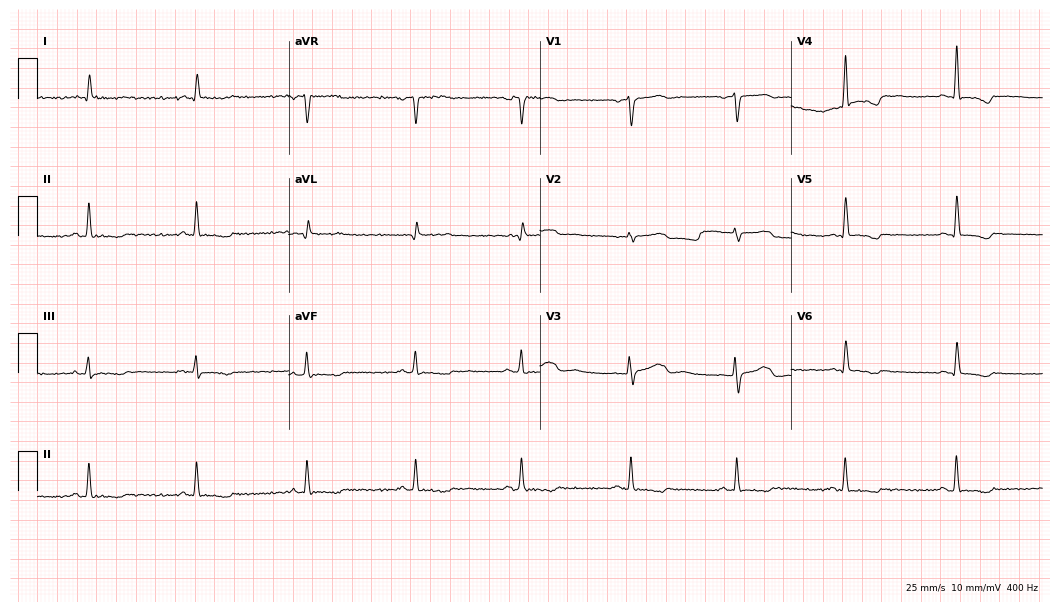
ECG — a 59-year-old female patient. Labelled as a normal ECG.